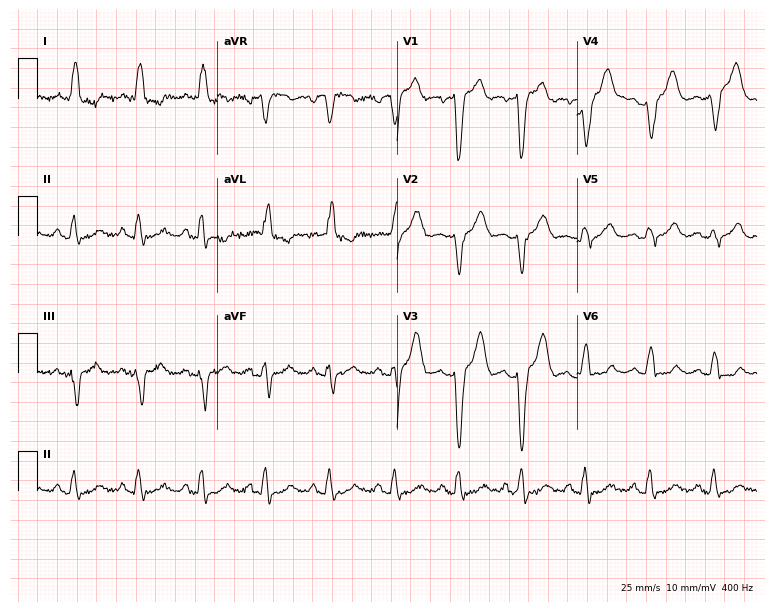
12-lead ECG from an 81-year-old woman. No first-degree AV block, right bundle branch block (RBBB), left bundle branch block (LBBB), sinus bradycardia, atrial fibrillation (AF) or sinus tachycardia recorded for this tracing.